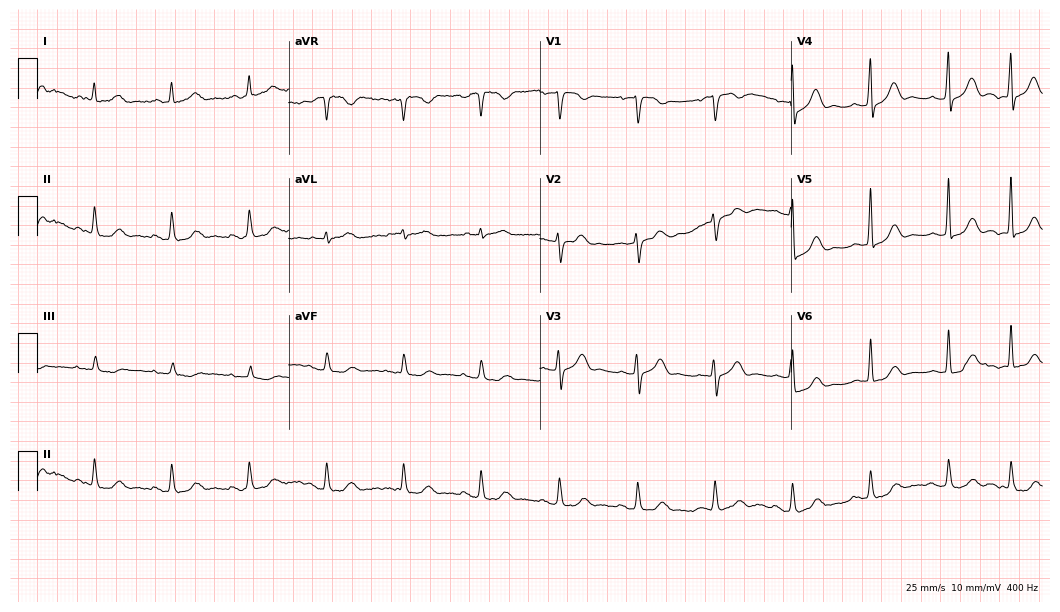
Standard 12-lead ECG recorded from a 67-year-old male (10.2-second recording at 400 Hz). None of these six findings is recorded: first-degree AV block, right bundle branch block, left bundle branch block, sinus bradycardia, atrial fibrillation, sinus tachycardia. Other findings, if any, are not listed.